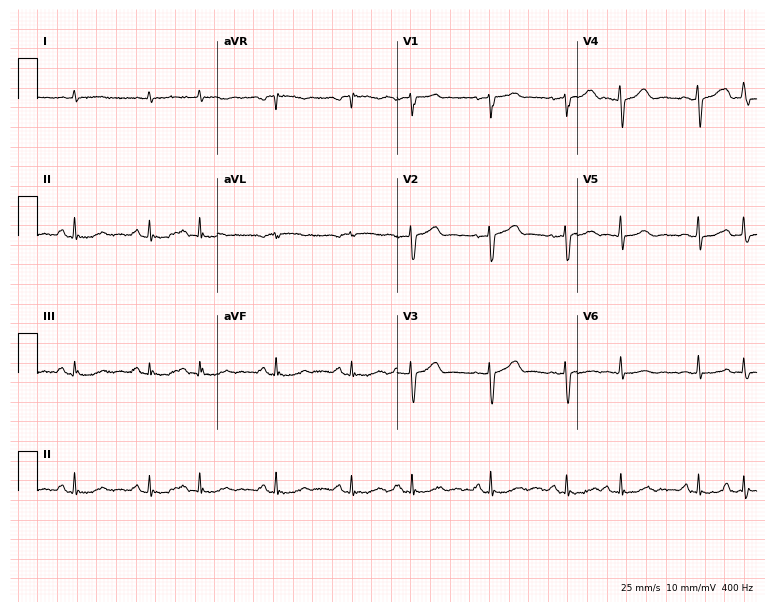
Resting 12-lead electrocardiogram (7.3-second recording at 400 Hz). Patient: a man, 80 years old. None of these six findings is recorded: first-degree AV block, right bundle branch block, left bundle branch block, sinus bradycardia, atrial fibrillation, sinus tachycardia.